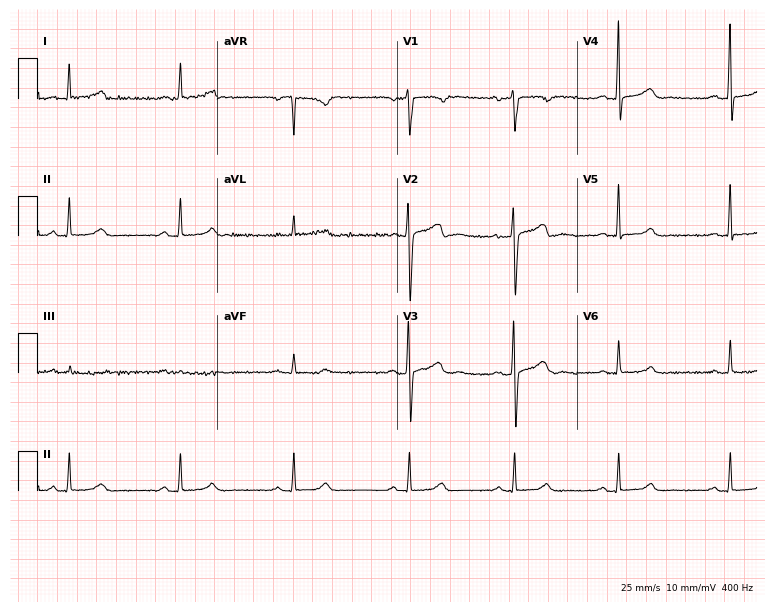
12-lead ECG from a woman, 42 years old (7.3-second recording at 400 Hz). Recorded interpretation: within normal limits.